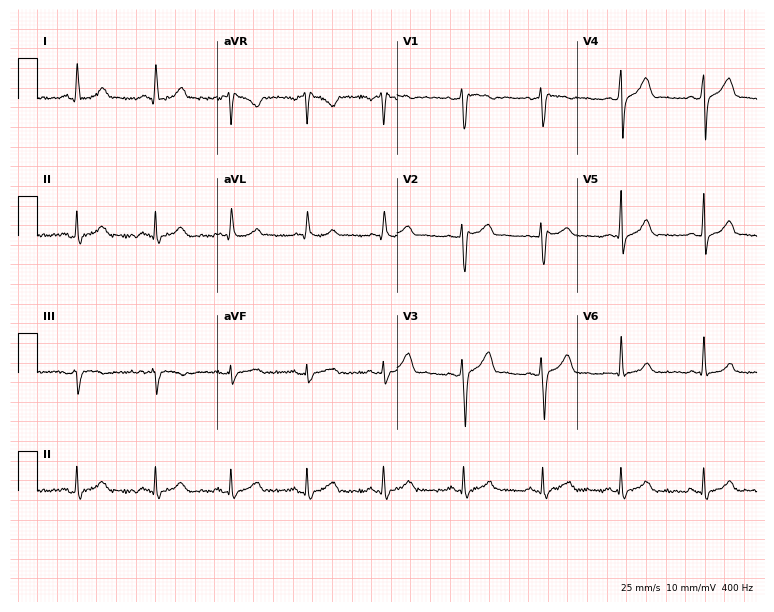
12-lead ECG from a man, 35 years old. Recorded interpretation: within normal limits.